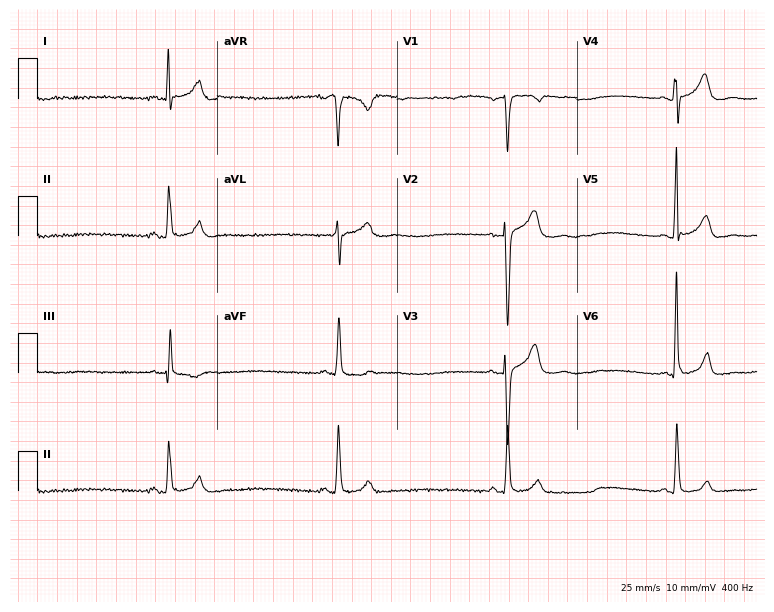
Standard 12-lead ECG recorded from a man, 44 years old (7.3-second recording at 400 Hz). None of these six findings is recorded: first-degree AV block, right bundle branch block (RBBB), left bundle branch block (LBBB), sinus bradycardia, atrial fibrillation (AF), sinus tachycardia. Other findings, if any, are not listed.